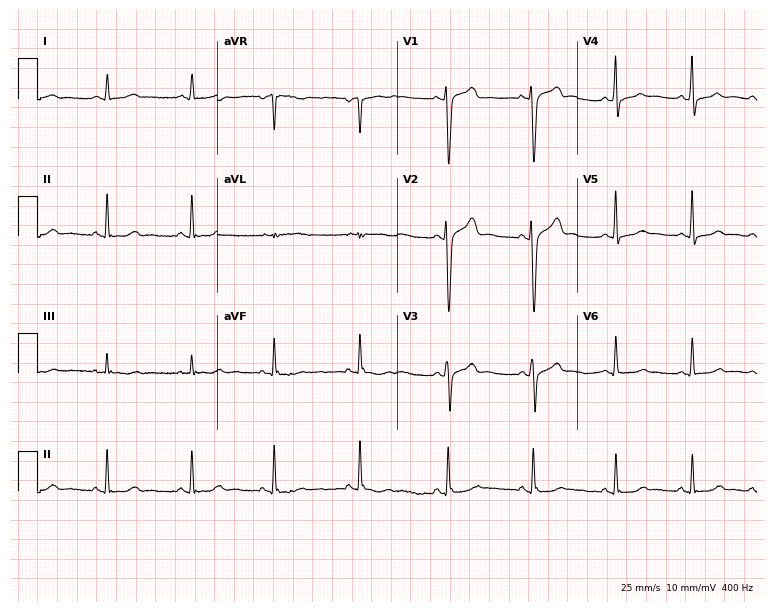
Electrocardiogram (7.3-second recording at 400 Hz), a female patient, 45 years old. Of the six screened findings (first-degree AV block, right bundle branch block, left bundle branch block, sinus bradycardia, atrial fibrillation, sinus tachycardia), none is recorded. Other findings, if any, are not listed.